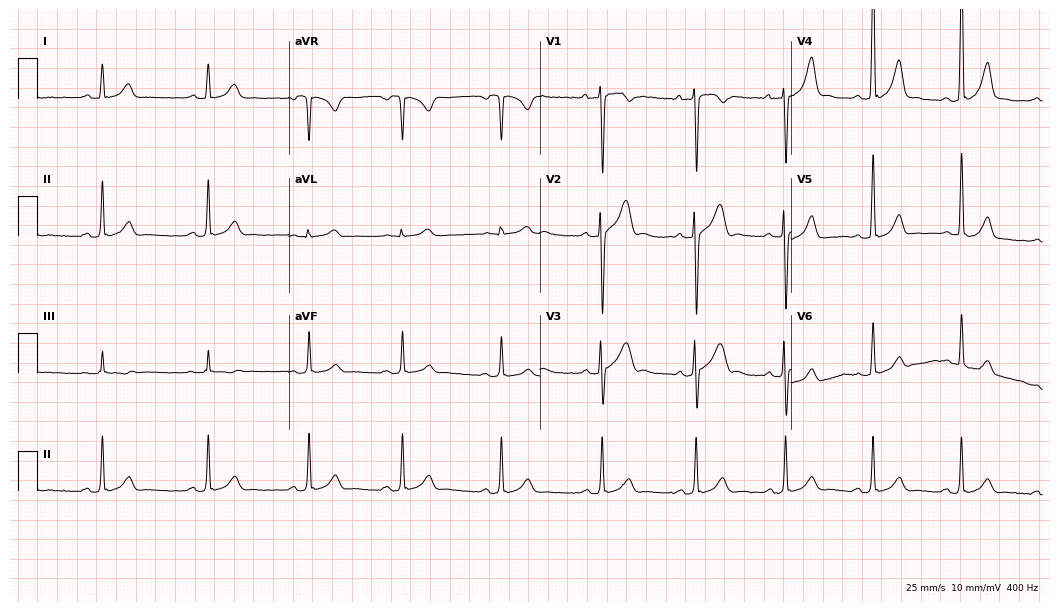
Resting 12-lead electrocardiogram. Patient: a 17-year-old male. Read as a normal ECG.